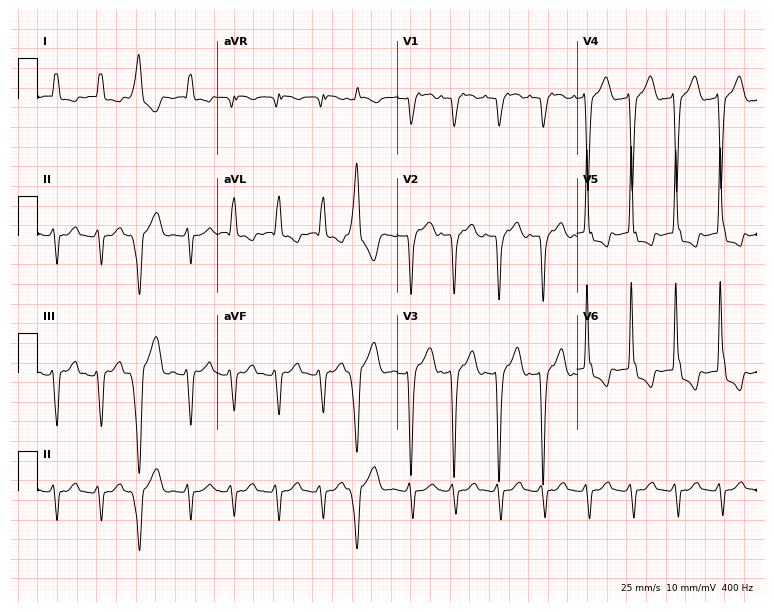
Resting 12-lead electrocardiogram (7.3-second recording at 400 Hz). Patient: a male, 80 years old. The tracing shows sinus tachycardia (a sinus rate of 100 beats per minute or more).